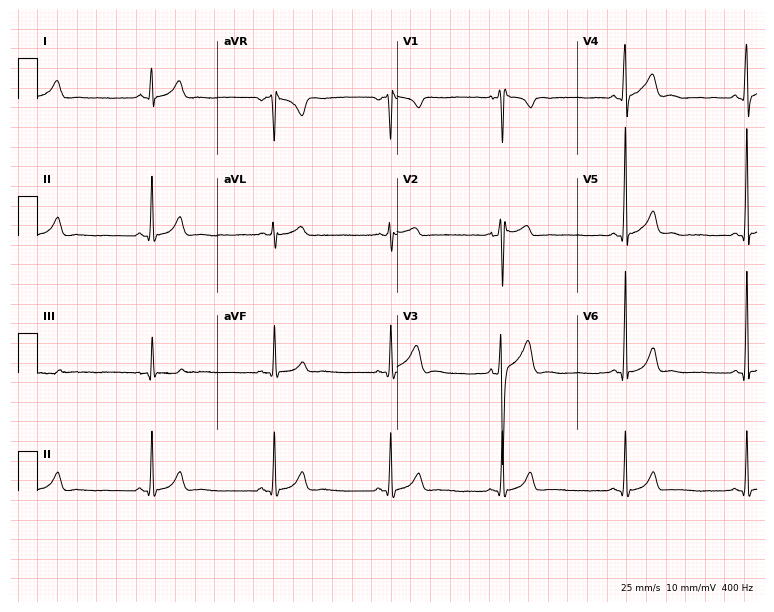
Resting 12-lead electrocardiogram (7.3-second recording at 400 Hz). Patient: a 24-year-old male. Read as a normal ECG.